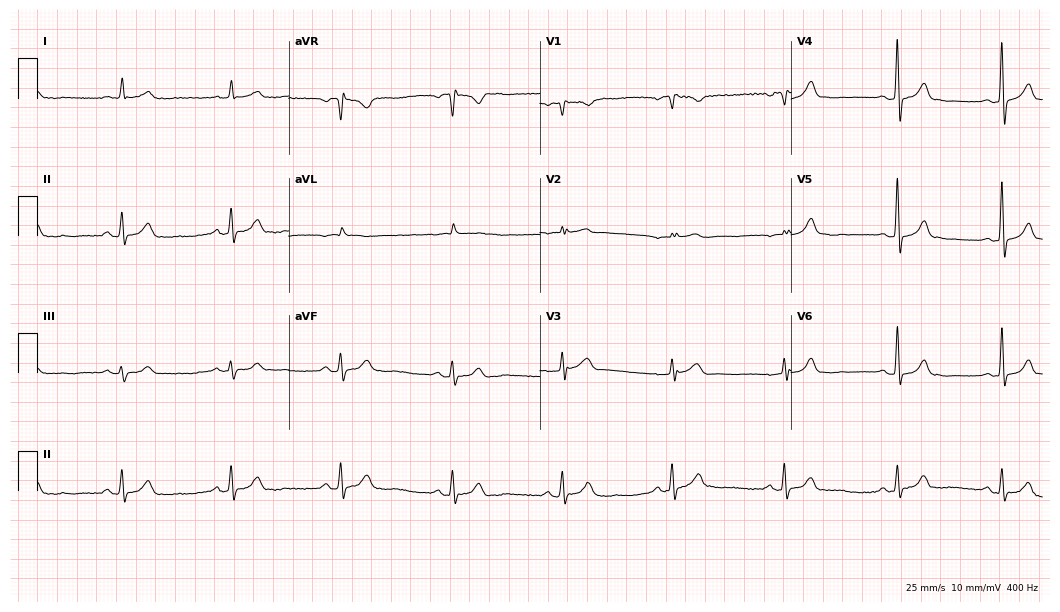
Electrocardiogram, a male, 83 years old. Overall reading on record: normal ECG.